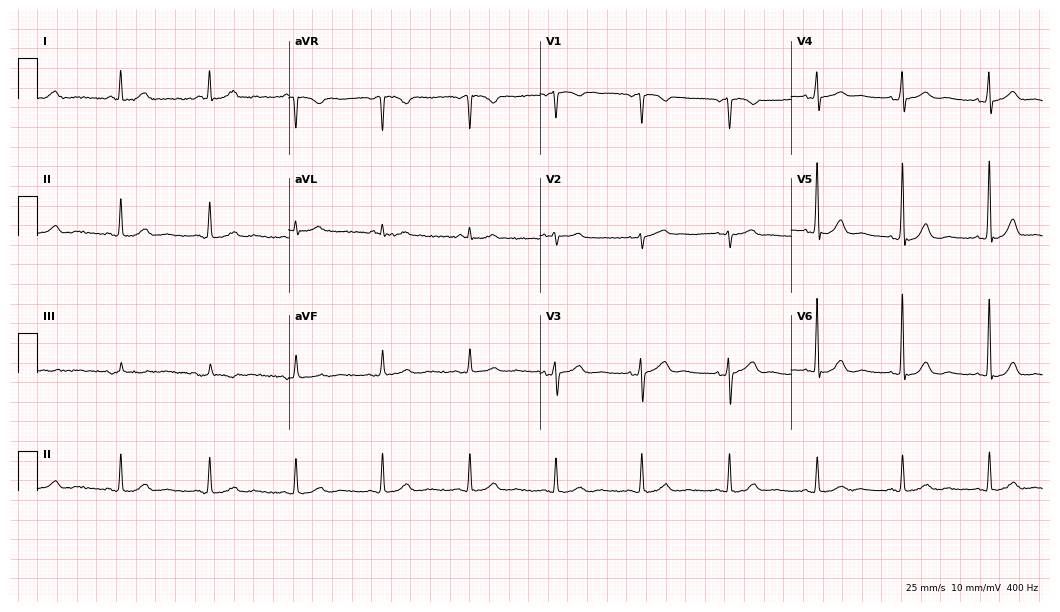
ECG — a 60-year-old female patient. Labelled as a normal ECG.